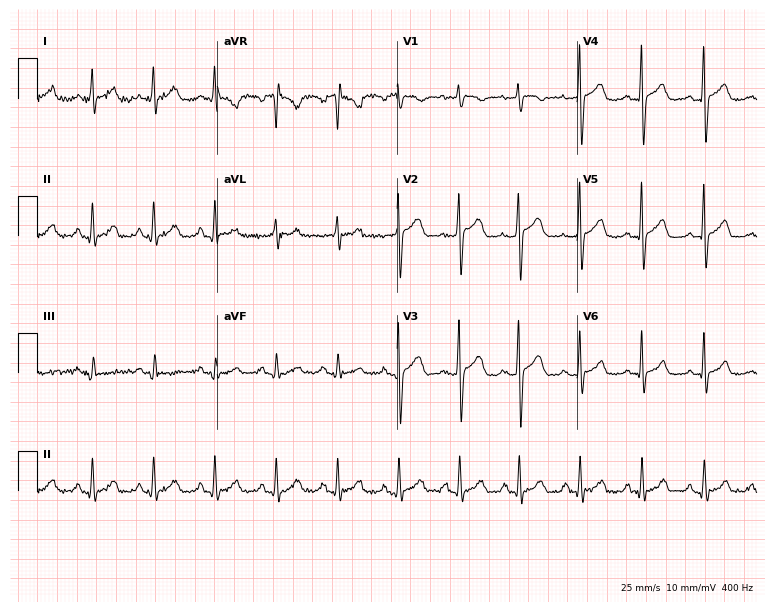
12-lead ECG from a 28-year-old male. Labelled as a normal ECG.